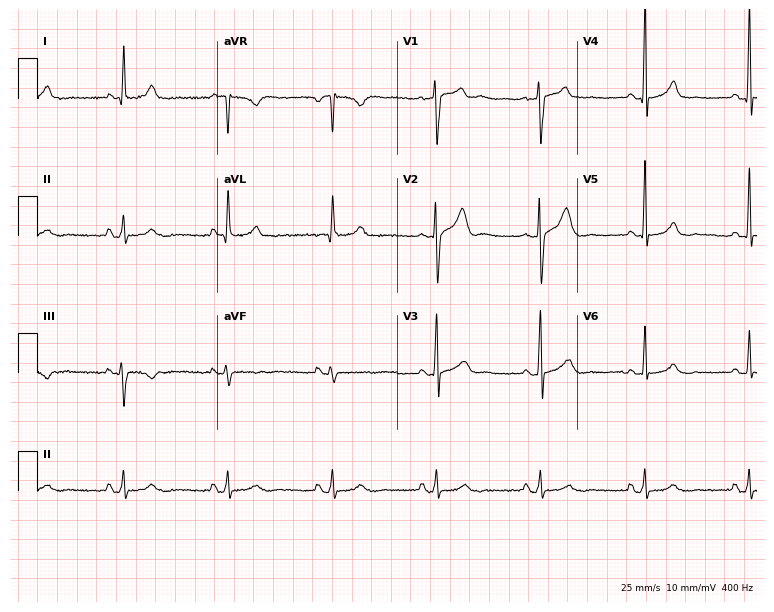
Electrocardiogram, a female, 49 years old. Overall reading on record: normal ECG.